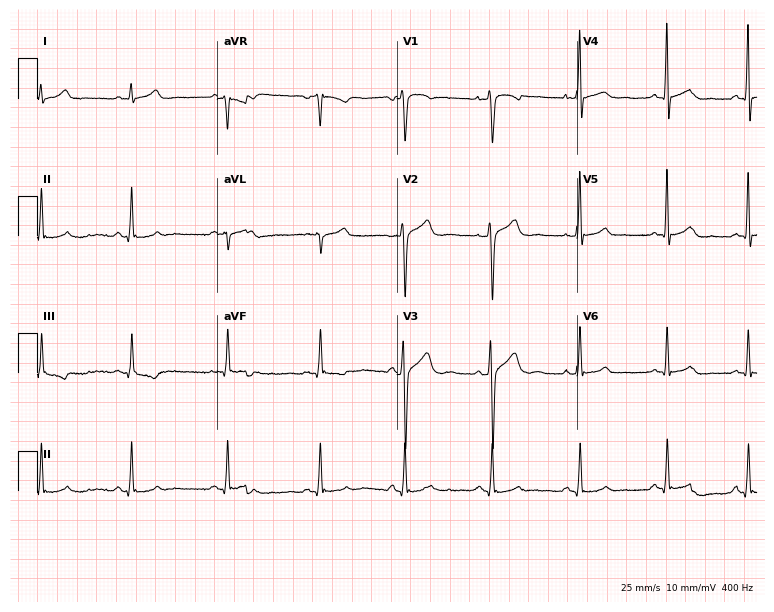
Electrocardiogram (7.3-second recording at 400 Hz), a male patient, 27 years old. Of the six screened findings (first-degree AV block, right bundle branch block (RBBB), left bundle branch block (LBBB), sinus bradycardia, atrial fibrillation (AF), sinus tachycardia), none is recorded. Other findings, if any, are not listed.